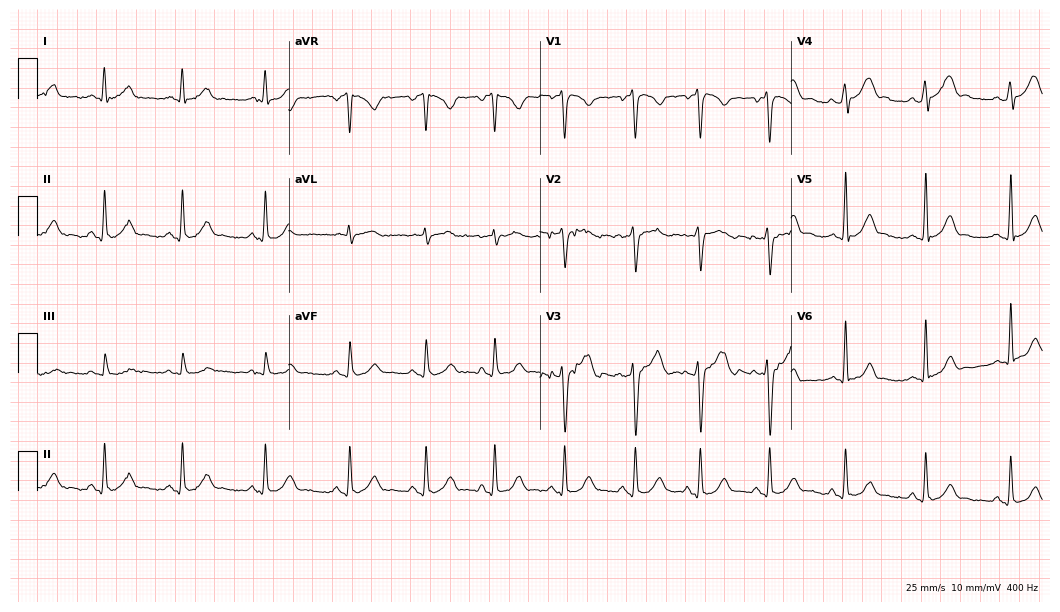
12-lead ECG from a 24-year-old male patient (10.2-second recording at 400 Hz). Recorded interpretation: within normal limits.